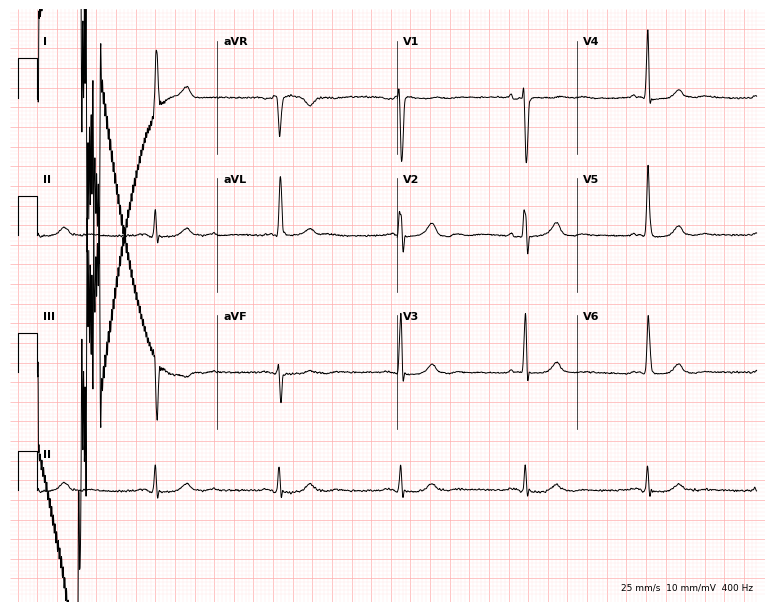
12-lead ECG (7.3-second recording at 400 Hz) from a woman, 81 years old. Findings include sinus bradycardia (a sinus rate of 50 beats per minute or less).